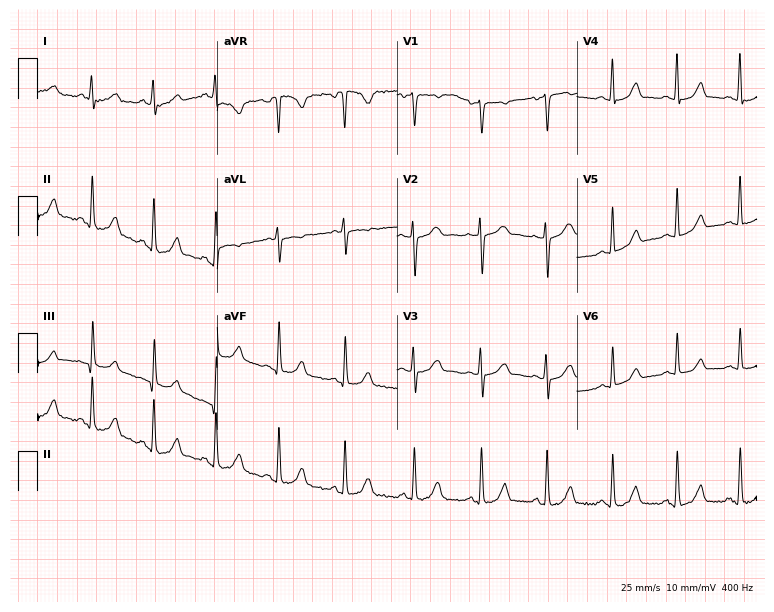
12-lead ECG from a 31-year-old female. Screened for six findings — first-degree AV block, right bundle branch block, left bundle branch block, sinus bradycardia, atrial fibrillation, sinus tachycardia — none is recorded.